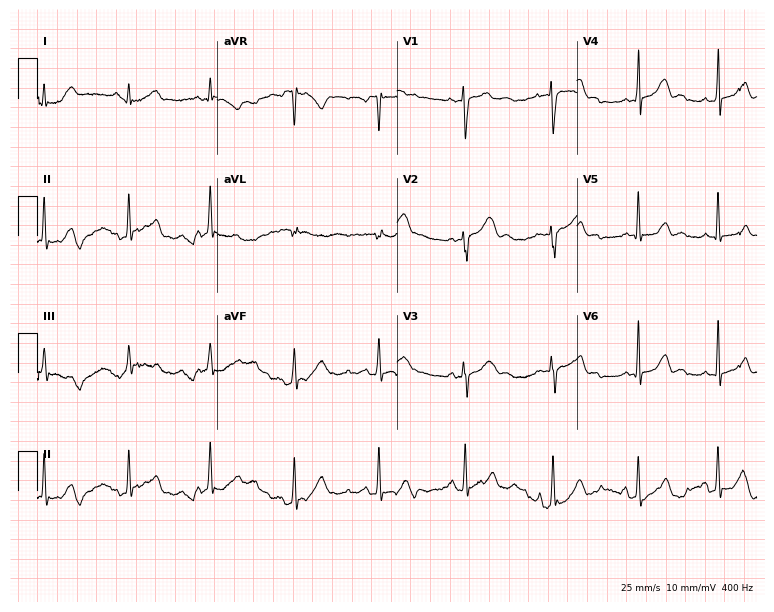
12-lead ECG (7.3-second recording at 400 Hz) from a female, 24 years old. Screened for six findings — first-degree AV block, right bundle branch block (RBBB), left bundle branch block (LBBB), sinus bradycardia, atrial fibrillation (AF), sinus tachycardia — none is recorded.